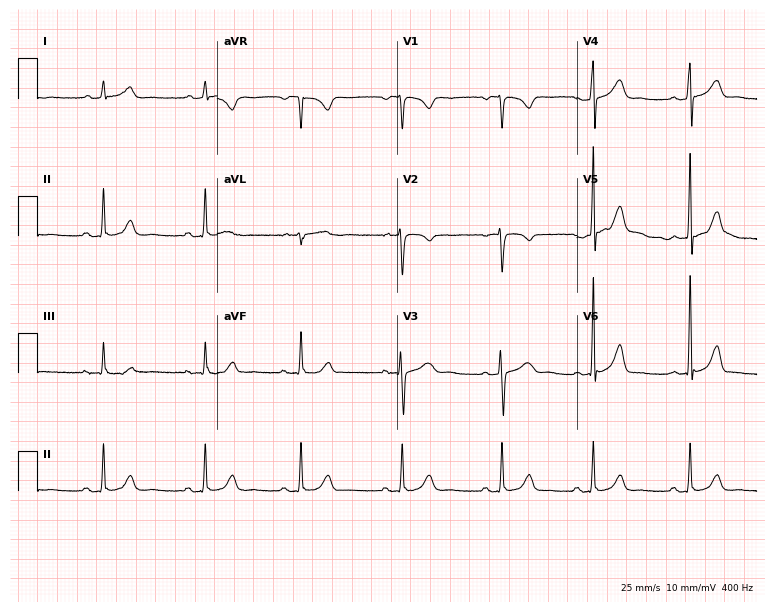
12-lead ECG from a 22-year-old female patient (7.3-second recording at 400 Hz). Recorded interpretation: within normal limits.